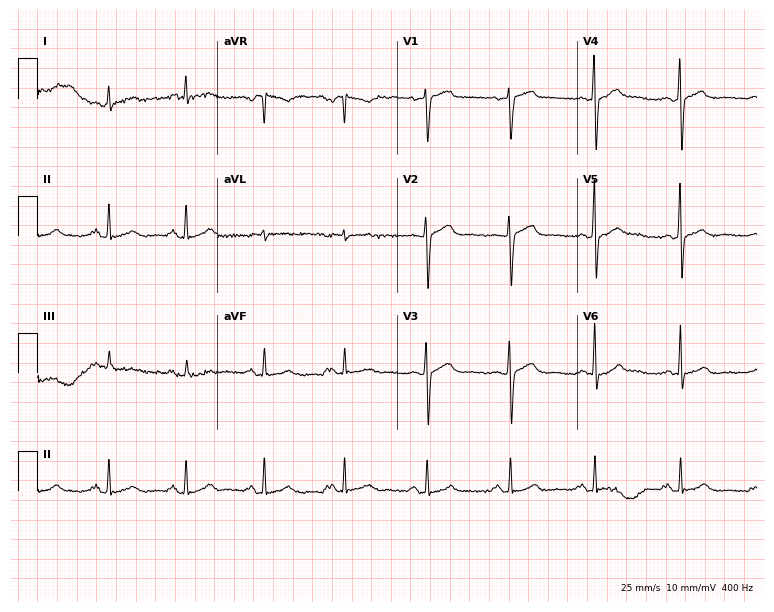
12-lead ECG (7.3-second recording at 400 Hz) from a 66-year-old male. Screened for six findings — first-degree AV block, right bundle branch block, left bundle branch block, sinus bradycardia, atrial fibrillation, sinus tachycardia — none is recorded. Findings outside these six are not listed.